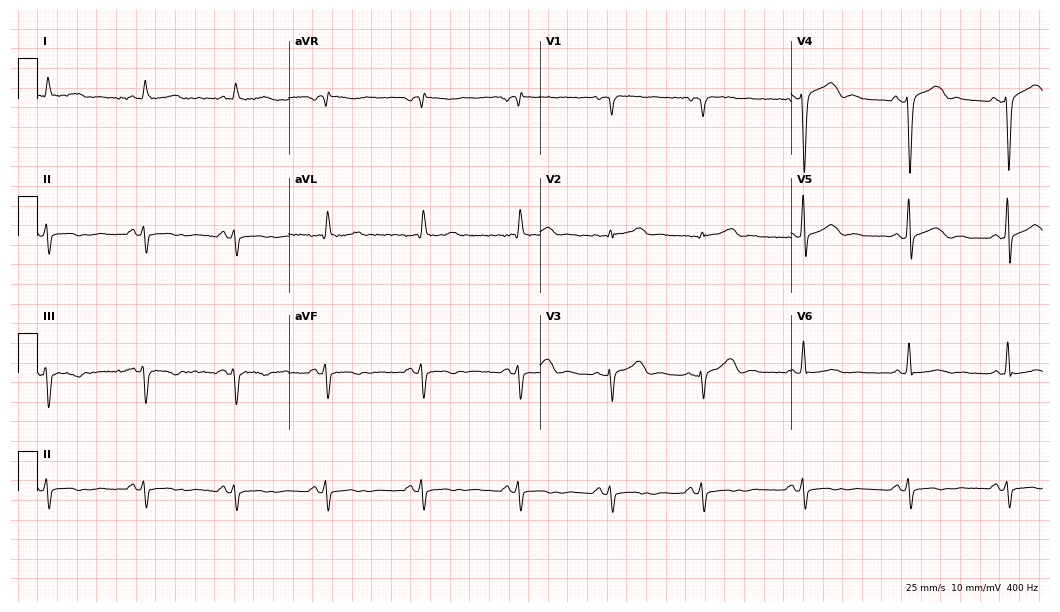
Electrocardiogram, a female, 53 years old. Of the six screened findings (first-degree AV block, right bundle branch block, left bundle branch block, sinus bradycardia, atrial fibrillation, sinus tachycardia), none is recorded. Other findings, if any, are not listed.